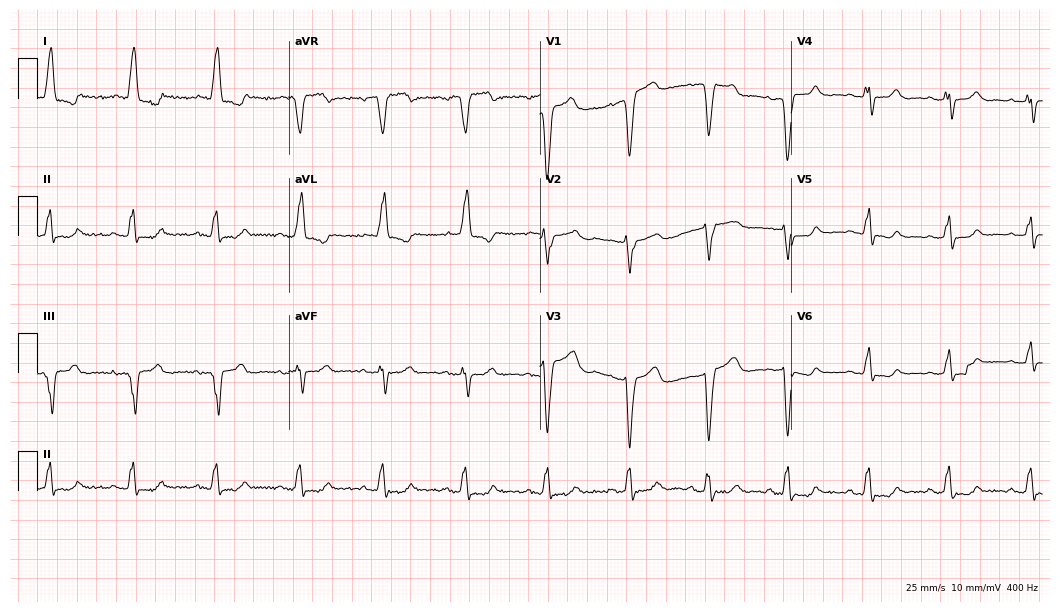
12-lead ECG from a woman, 79 years old. Findings include left bundle branch block.